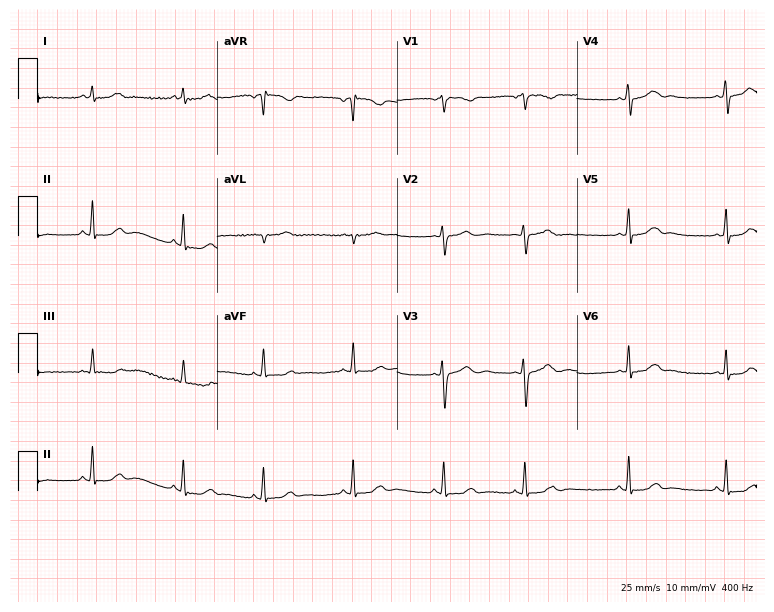
12-lead ECG from a 17-year-old female patient. No first-degree AV block, right bundle branch block (RBBB), left bundle branch block (LBBB), sinus bradycardia, atrial fibrillation (AF) or sinus tachycardia recorded for this tracing. Findings outside these six are not listed.